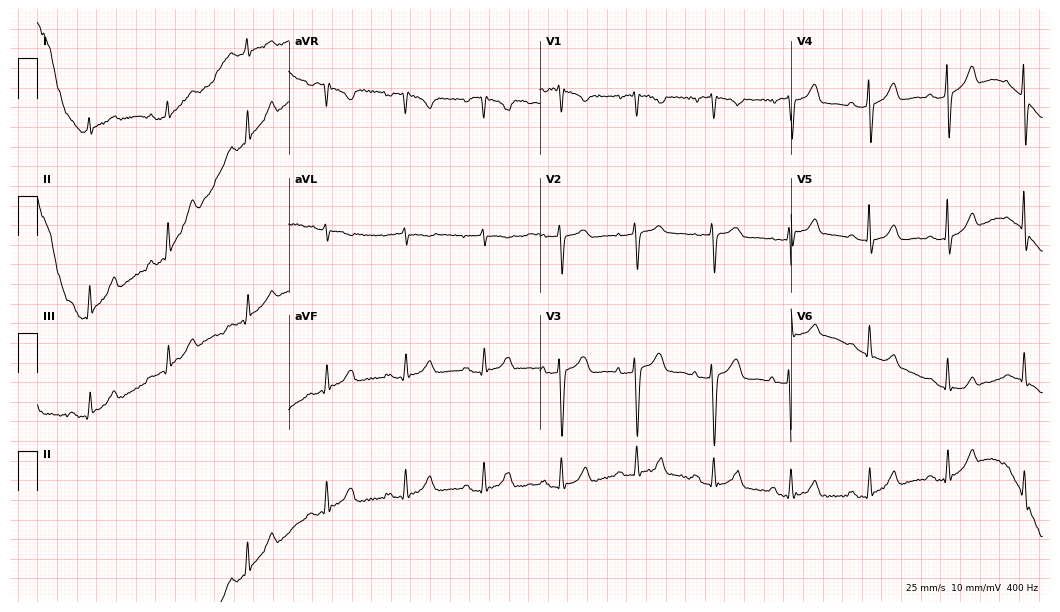
ECG (10.2-second recording at 400 Hz) — a female, 54 years old. Screened for six findings — first-degree AV block, right bundle branch block (RBBB), left bundle branch block (LBBB), sinus bradycardia, atrial fibrillation (AF), sinus tachycardia — none is recorded. Only these six findings were labelled.